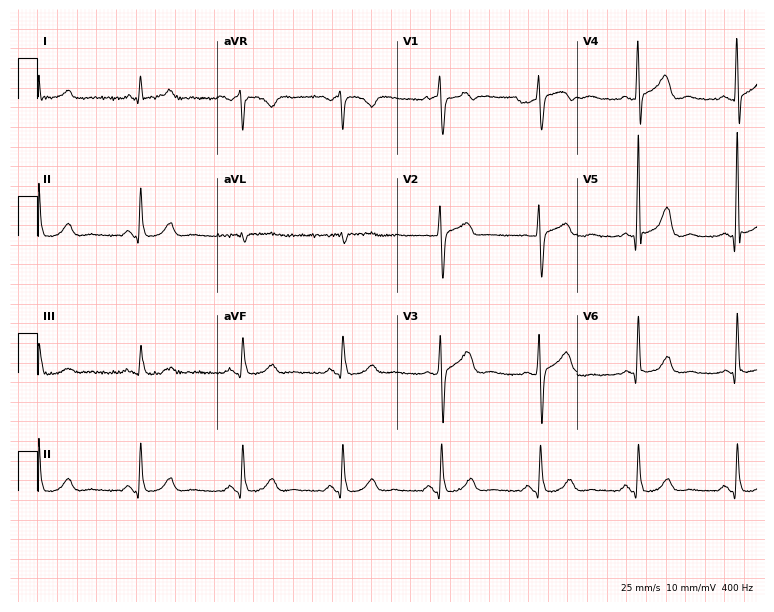
Electrocardiogram, a 70-year-old male. Overall reading on record: normal ECG.